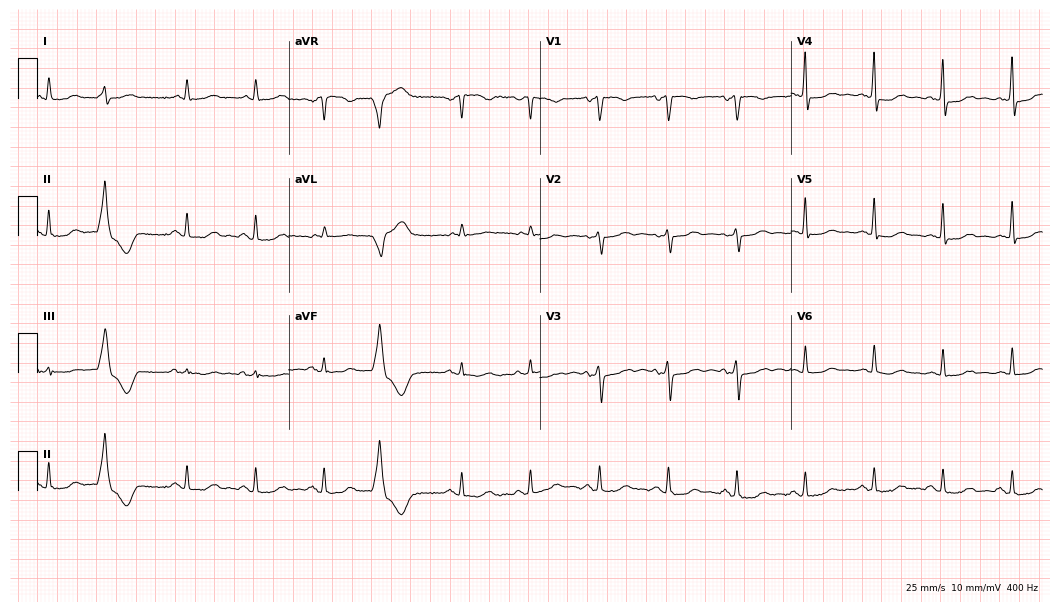
12-lead ECG from a female patient, 84 years old. No first-degree AV block, right bundle branch block, left bundle branch block, sinus bradycardia, atrial fibrillation or sinus tachycardia recorded for this tracing.